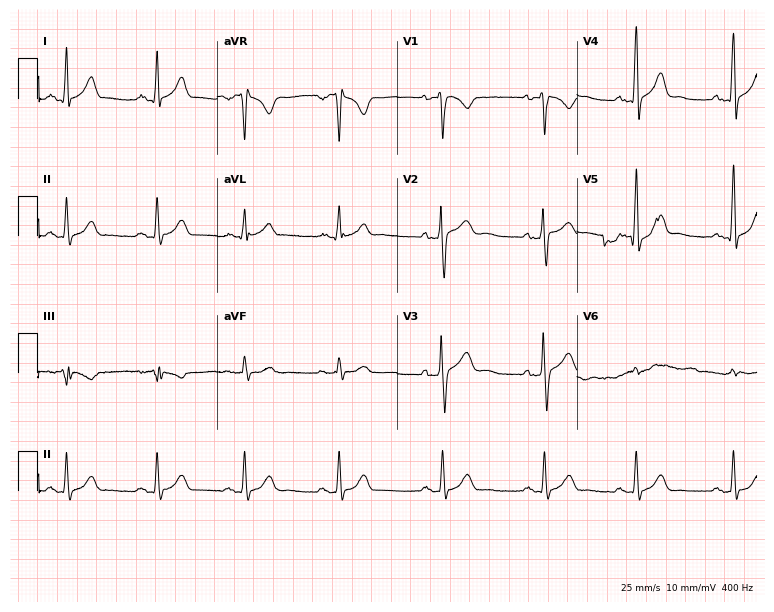
ECG (7.3-second recording at 400 Hz) — a male patient, 22 years old. Labelled as a normal ECG.